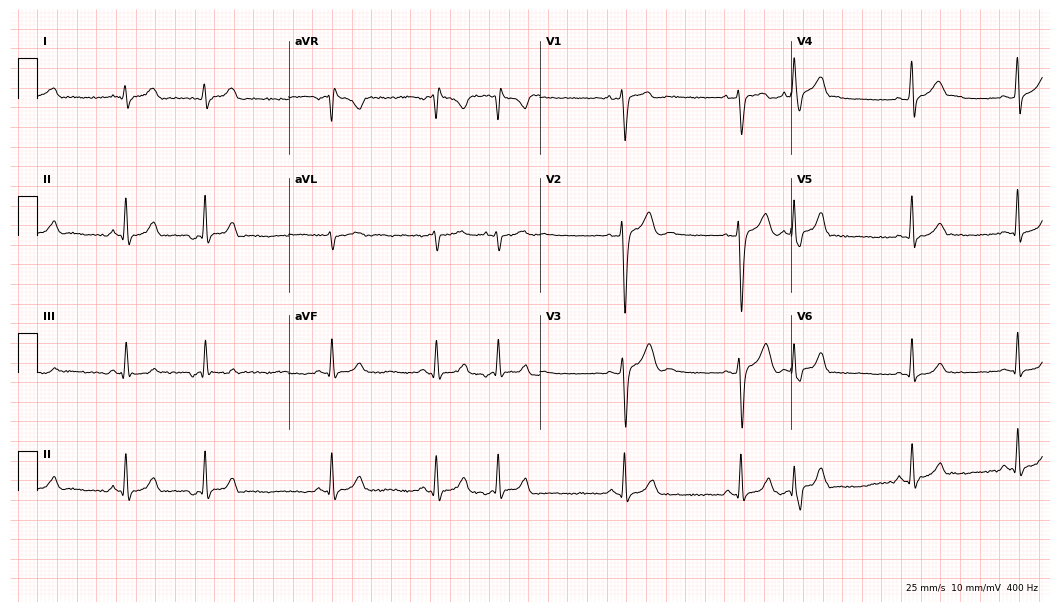
Electrocardiogram, a man, 20 years old. Of the six screened findings (first-degree AV block, right bundle branch block (RBBB), left bundle branch block (LBBB), sinus bradycardia, atrial fibrillation (AF), sinus tachycardia), none is recorded.